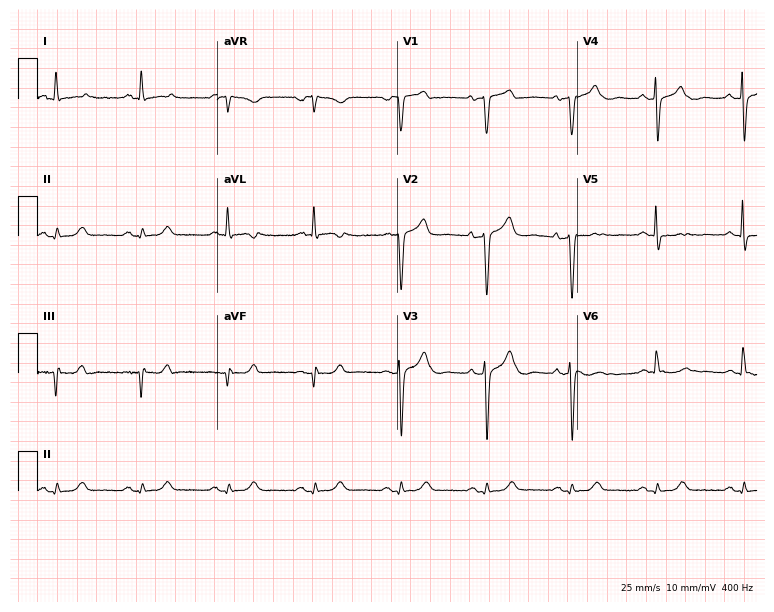
Electrocardiogram (7.3-second recording at 400 Hz), a 47-year-old male patient. Of the six screened findings (first-degree AV block, right bundle branch block (RBBB), left bundle branch block (LBBB), sinus bradycardia, atrial fibrillation (AF), sinus tachycardia), none is recorded.